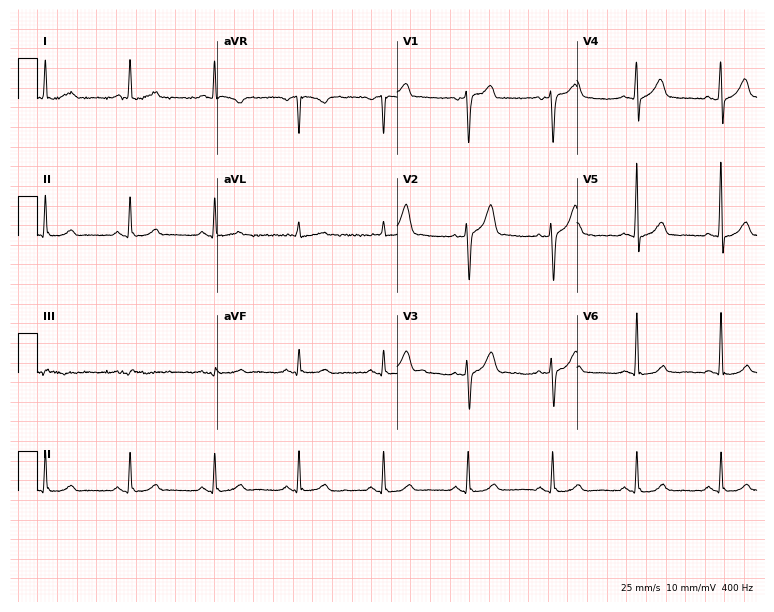
Electrocardiogram (7.3-second recording at 400 Hz), a male, 60 years old. Overall reading on record: normal ECG.